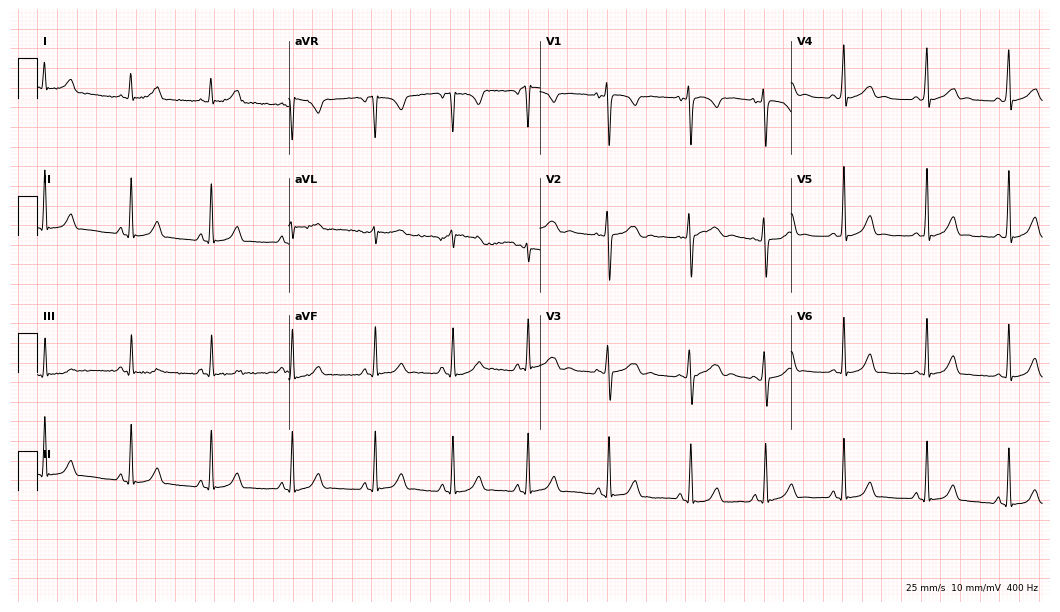
Electrocardiogram (10.2-second recording at 400 Hz), an 18-year-old female patient. Of the six screened findings (first-degree AV block, right bundle branch block (RBBB), left bundle branch block (LBBB), sinus bradycardia, atrial fibrillation (AF), sinus tachycardia), none is recorded.